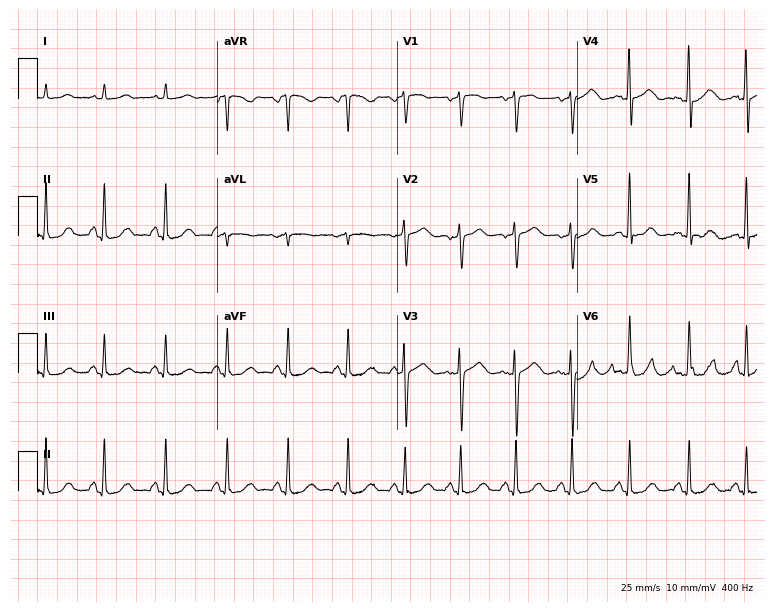
12-lead ECG from a female patient, 53 years old. Findings include sinus tachycardia (a sinus rate of 100 beats per minute or more).